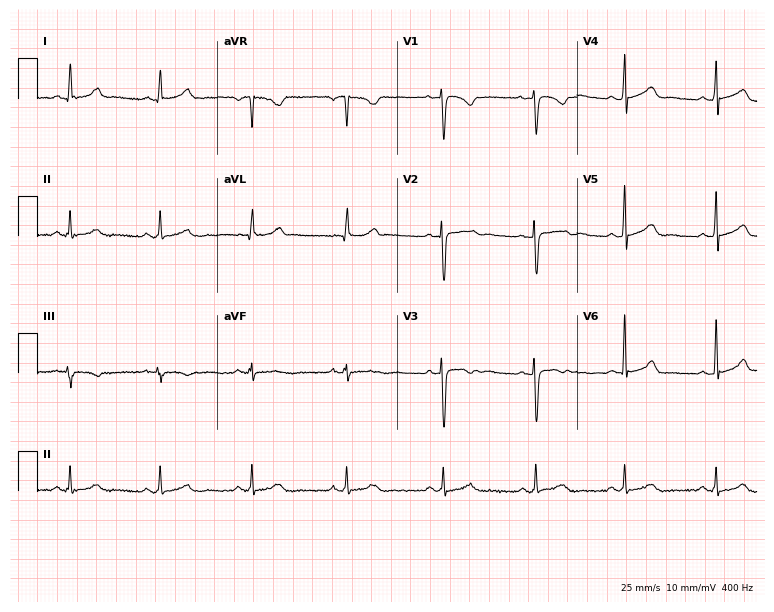
ECG — a 37-year-old female patient. Labelled as a normal ECG.